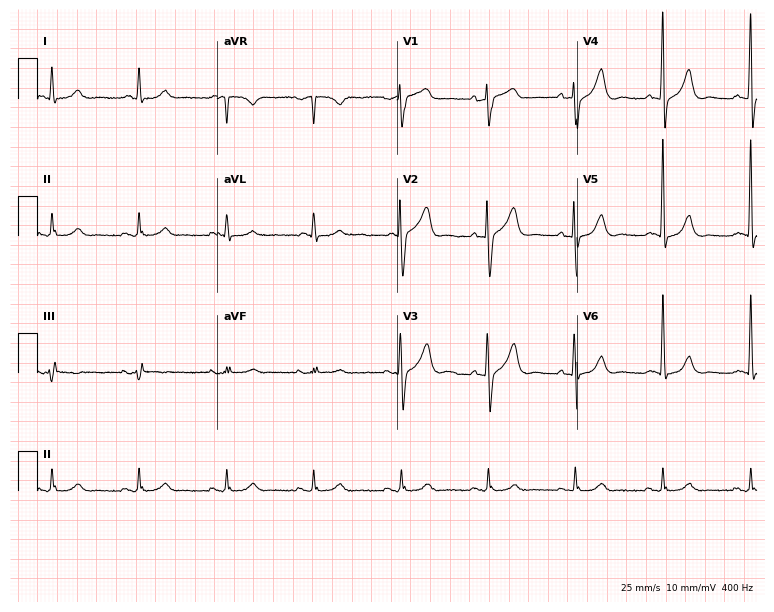
Electrocardiogram (7.3-second recording at 400 Hz), a 71-year-old male. Overall reading on record: normal ECG.